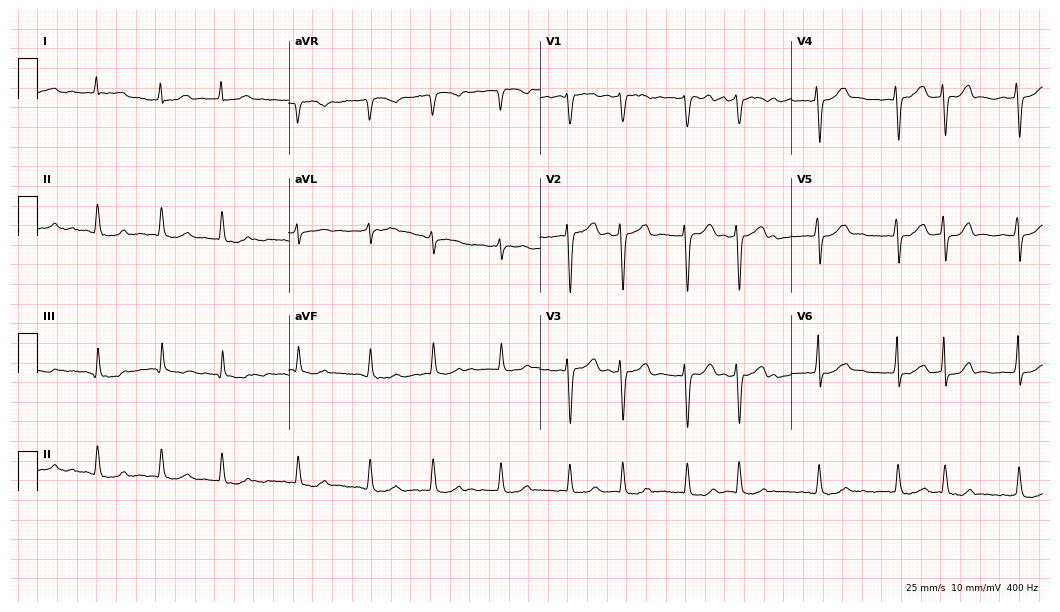
ECG — an 85-year-old female. Findings include atrial fibrillation.